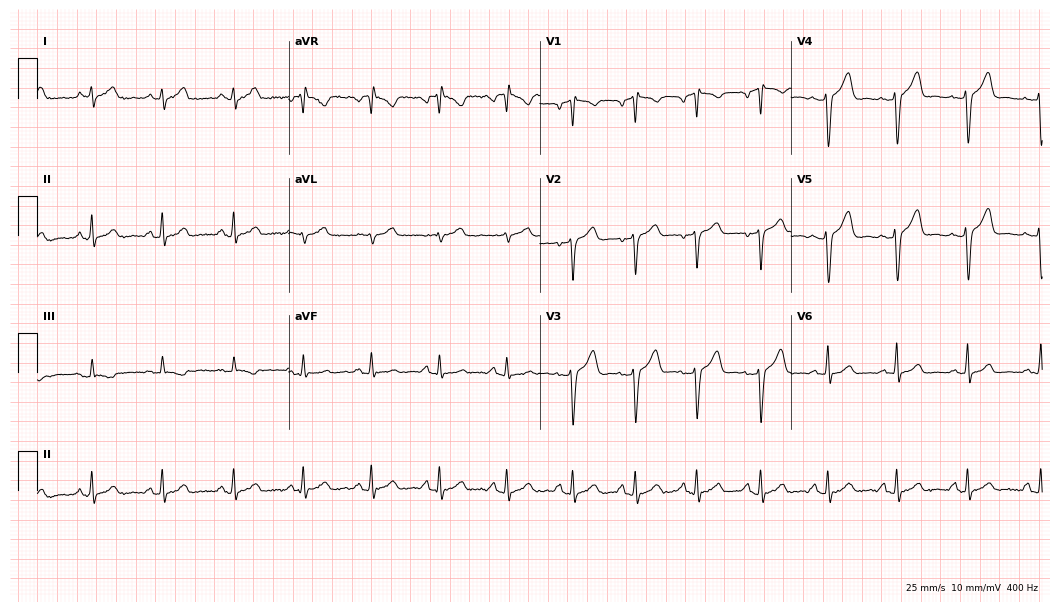
Standard 12-lead ECG recorded from a male patient, 34 years old (10.2-second recording at 400 Hz). None of these six findings is recorded: first-degree AV block, right bundle branch block, left bundle branch block, sinus bradycardia, atrial fibrillation, sinus tachycardia. Only these six findings were labelled.